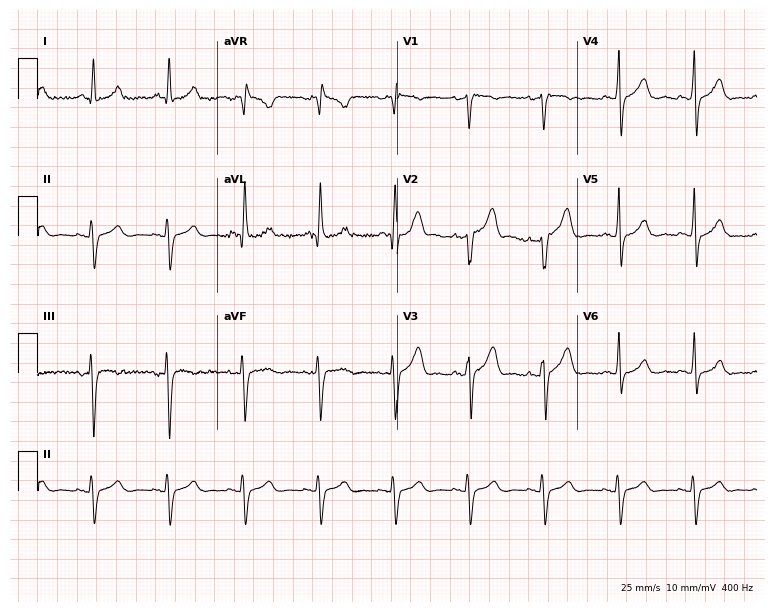
12-lead ECG from a 53-year-old male patient. Screened for six findings — first-degree AV block, right bundle branch block, left bundle branch block, sinus bradycardia, atrial fibrillation, sinus tachycardia — none is recorded.